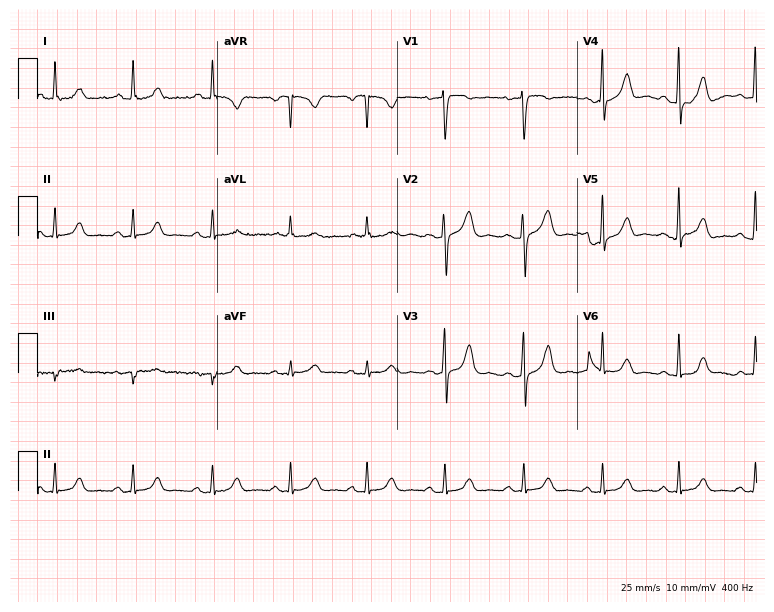
Electrocardiogram, a 67-year-old female. Of the six screened findings (first-degree AV block, right bundle branch block (RBBB), left bundle branch block (LBBB), sinus bradycardia, atrial fibrillation (AF), sinus tachycardia), none is recorded. Other findings, if any, are not listed.